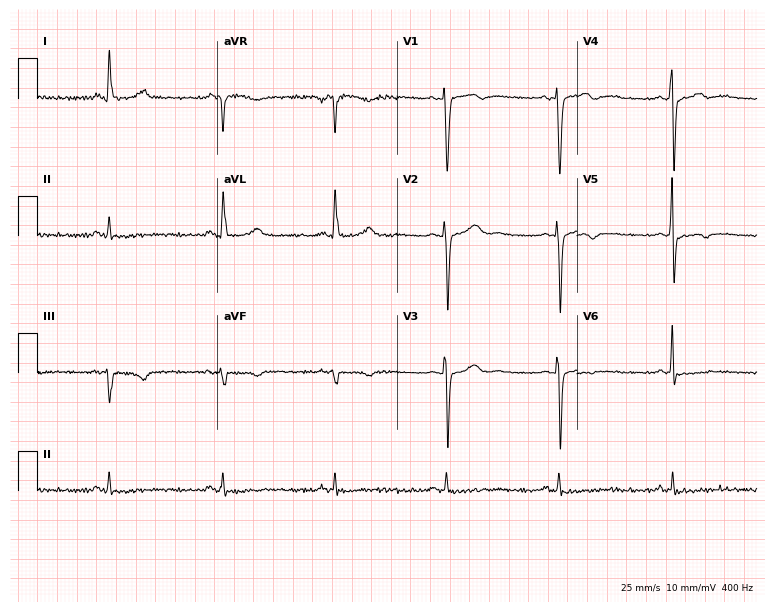
Standard 12-lead ECG recorded from a woman, 47 years old. None of these six findings is recorded: first-degree AV block, right bundle branch block (RBBB), left bundle branch block (LBBB), sinus bradycardia, atrial fibrillation (AF), sinus tachycardia.